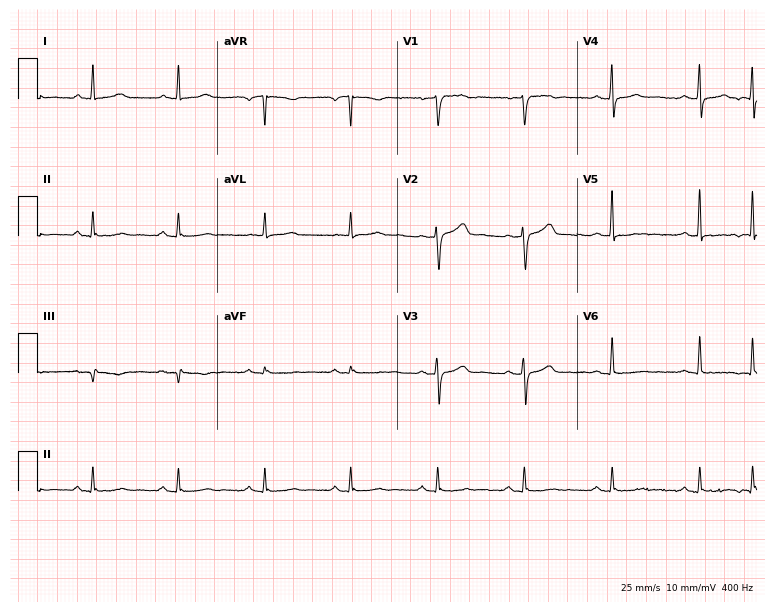
Standard 12-lead ECG recorded from a 60-year-old female (7.3-second recording at 400 Hz). Read as a normal ECG.